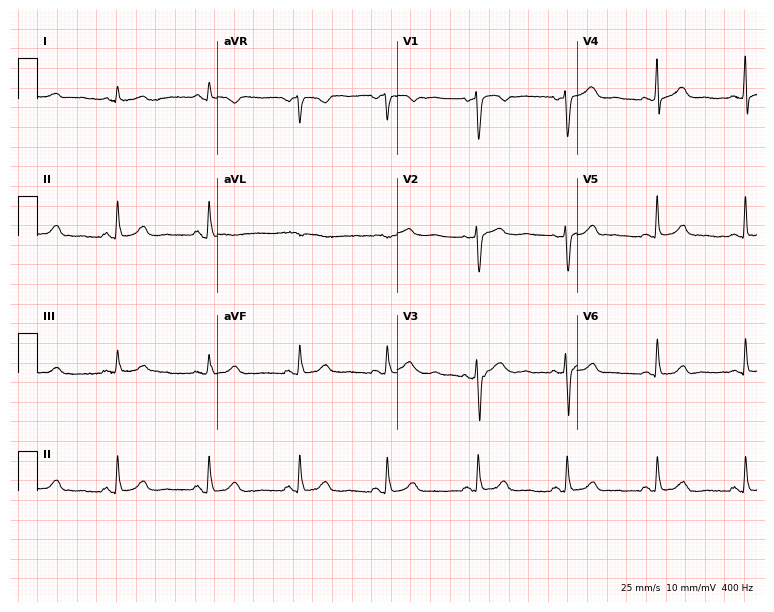
Resting 12-lead electrocardiogram. Patient: a female, 48 years old. Read as a normal ECG.